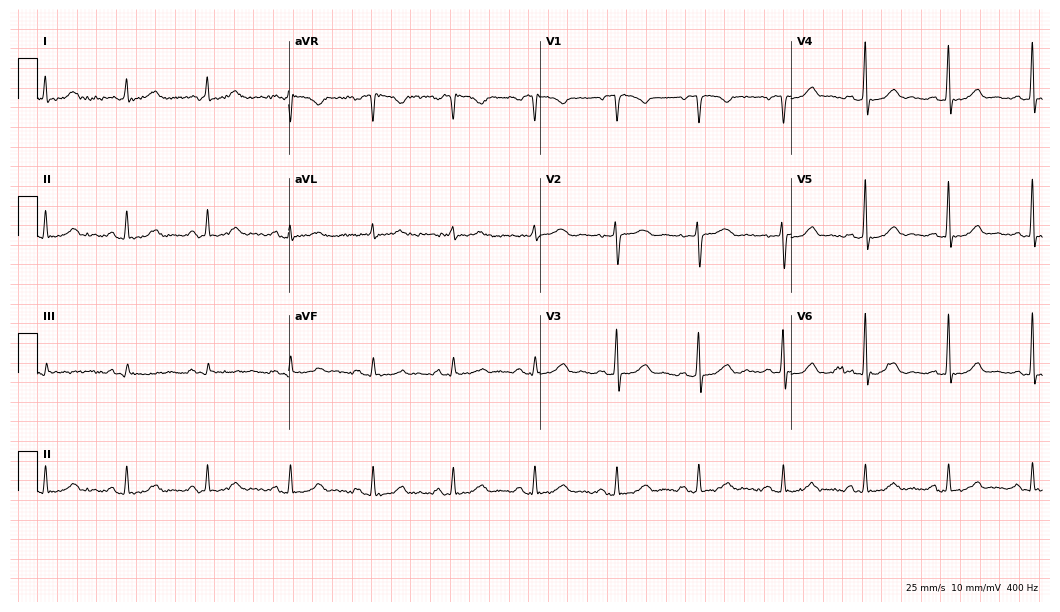
12-lead ECG from a female, 47 years old (10.2-second recording at 400 Hz). Recorded interpretation: within normal limits.